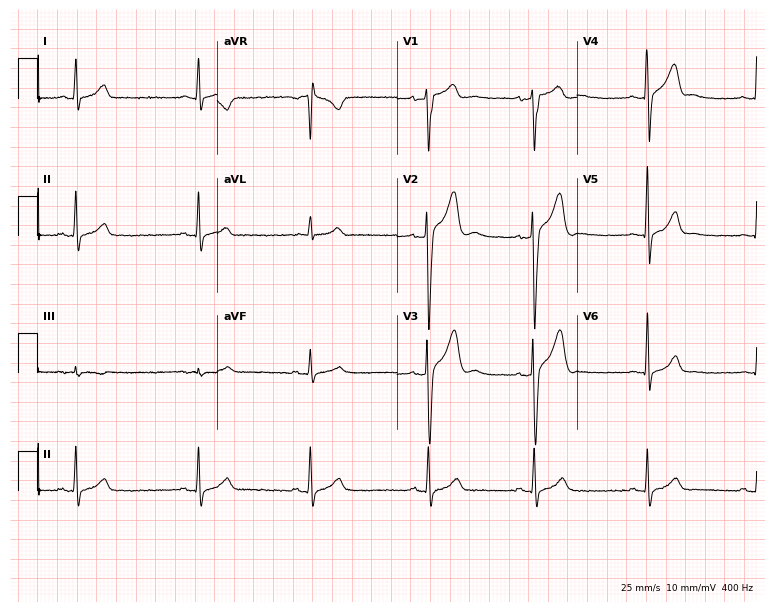
Electrocardiogram, a man, 27 years old. Overall reading on record: normal ECG.